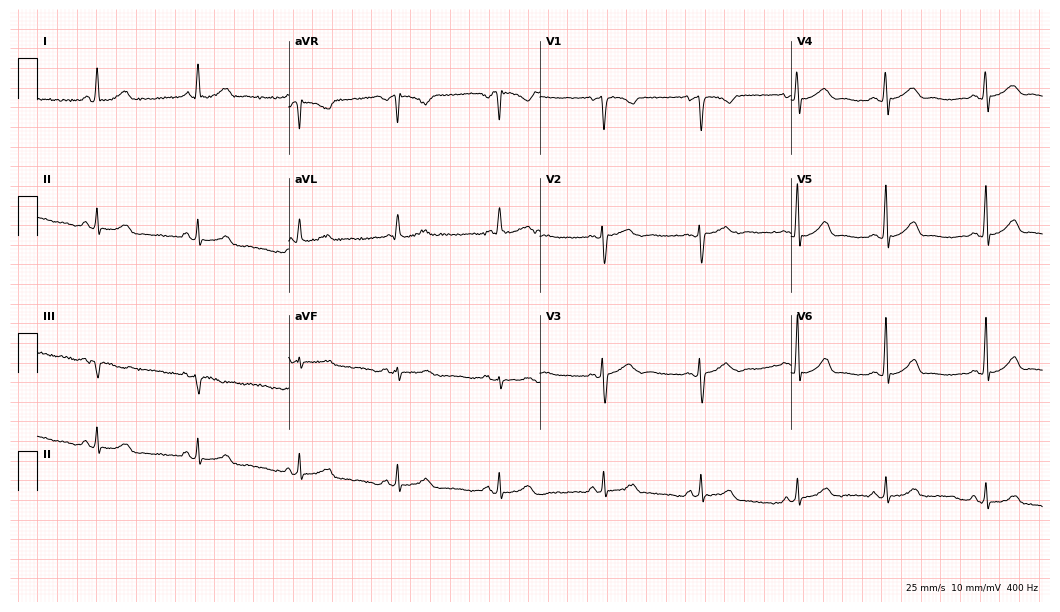
ECG — a 46-year-old woman. Screened for six findings — first-degree AV block, right bundle branch block, left bundle branch block, sinus bradycardia, atrial fibrillation, sinus tachycardia — none is recorded.